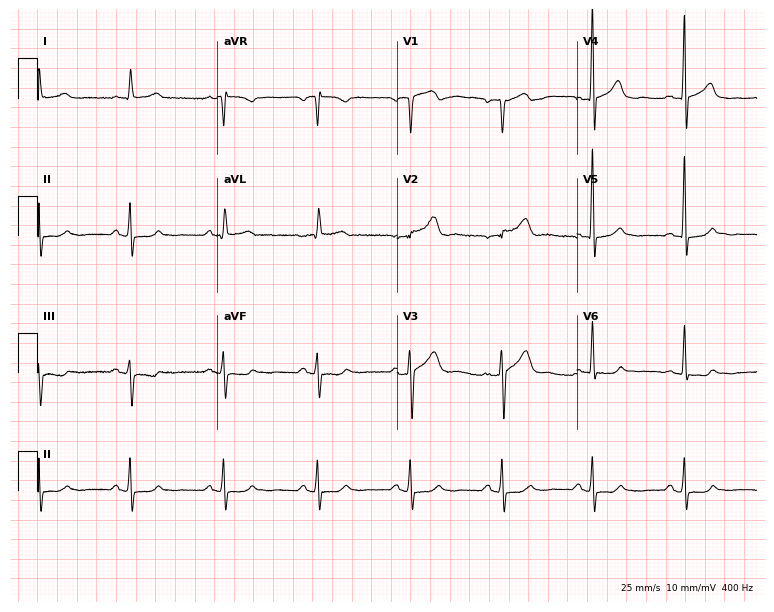
12-lead ECG from a man, 65 years old (7.3-second recording at 400 Hz). No first-degree AV block, right bundle branch block, left bundle branch block, sinus bradycardia, atrial fibrillation or sinus tachycardia recorded for this tracing. Other findings, if any, are not listed.